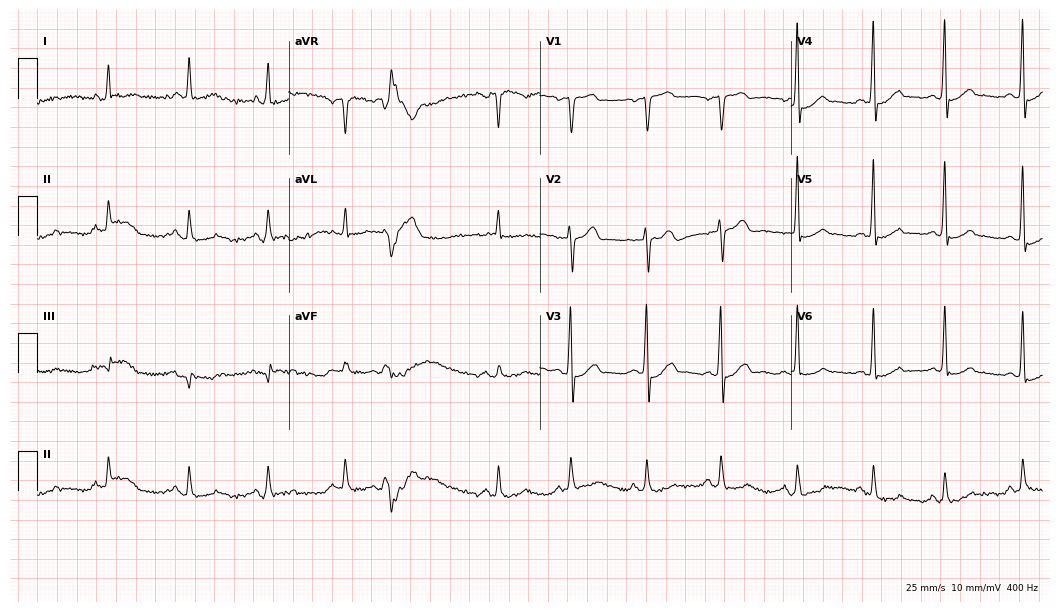
ECG (10.2-second recording at 400 Hz) — a 57-year-old woman. Screened for six findings — first-degree AV block, right bundle branch block, left bundle branch block, sinus bradycardia, atrial fibrillation, sinus tachycardia — none is recorded.